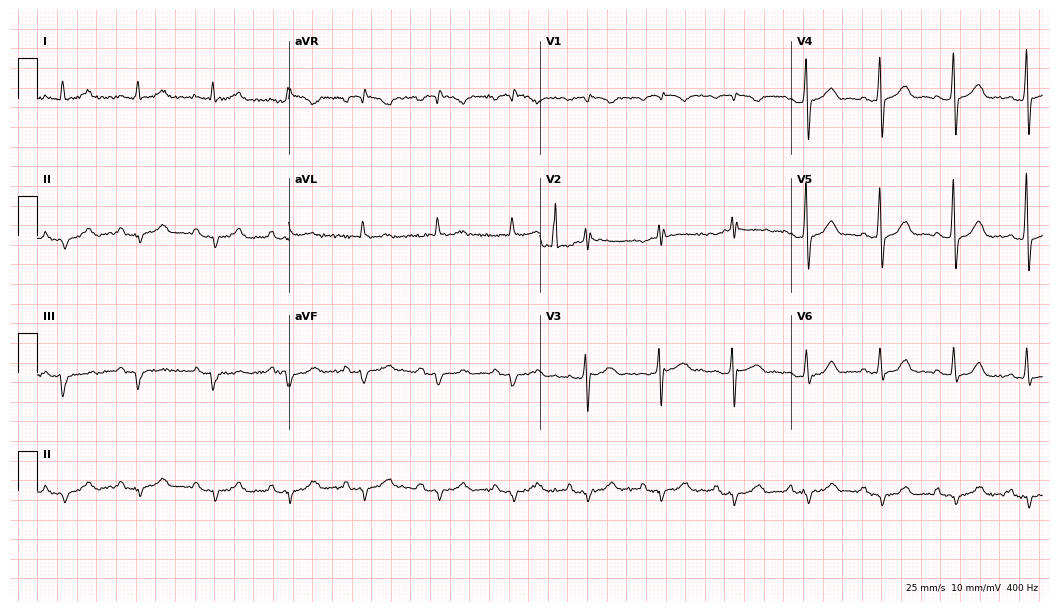
Standard 12-lead ECG recorded from a 59-year-old male. None of these six findings is recorded: first-degree AV block, right bundle branch block (RBBB), left bundle branch block (LBBB), sinus bradycardia, atrial fibrillation (AF), sinus tachycardia.